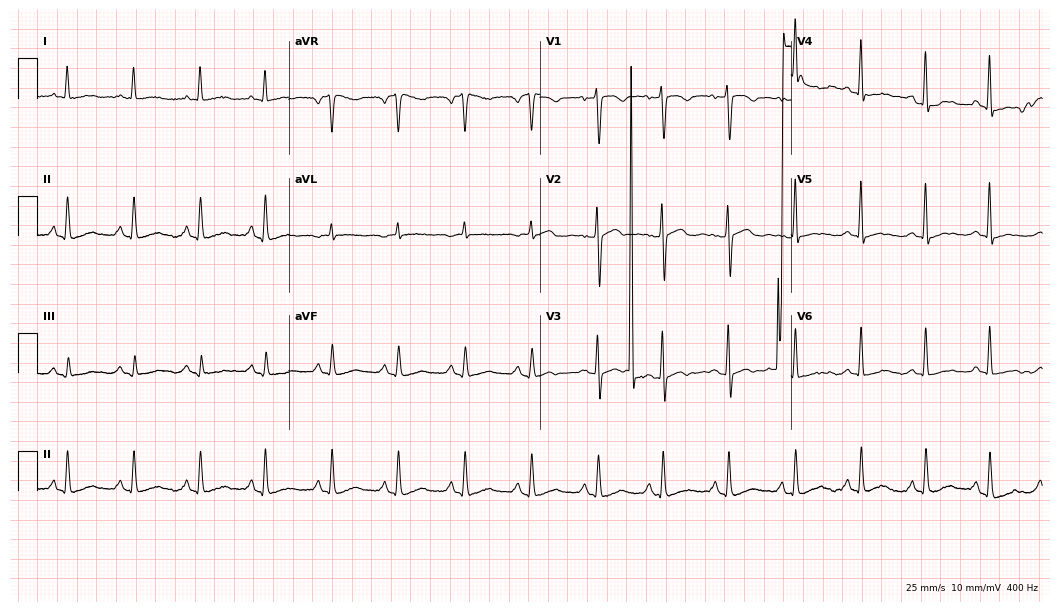
Electrocardiogram (10.2-second recording at 400 Hz), a female, 62 years old. Of the six screened findings (first-degree AV block, right bundle branch block, left bundle branch block, sinus bradycardia, atrial fibrillation, sinus tachycardia), none is recorded.